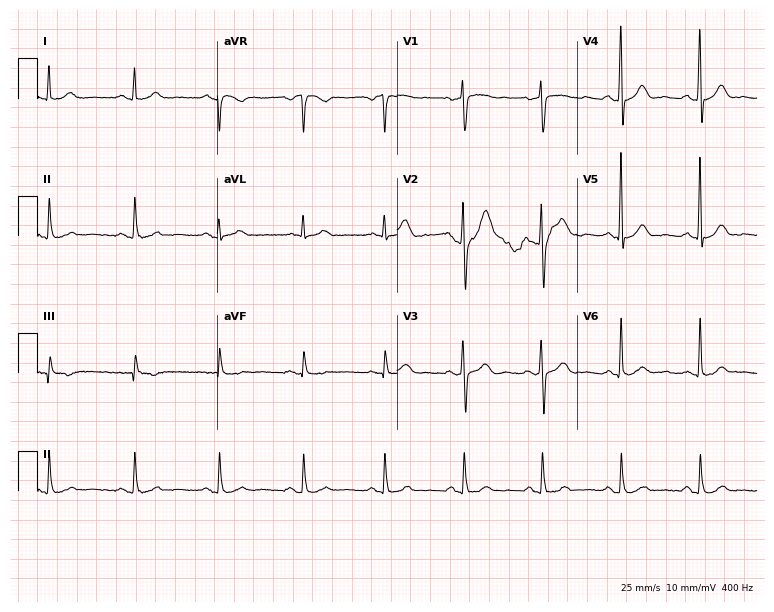
Electrocardiogram (7.3-second recording at 400 Hz), a male, 70 years old. Overall reading on record: normal ECG.